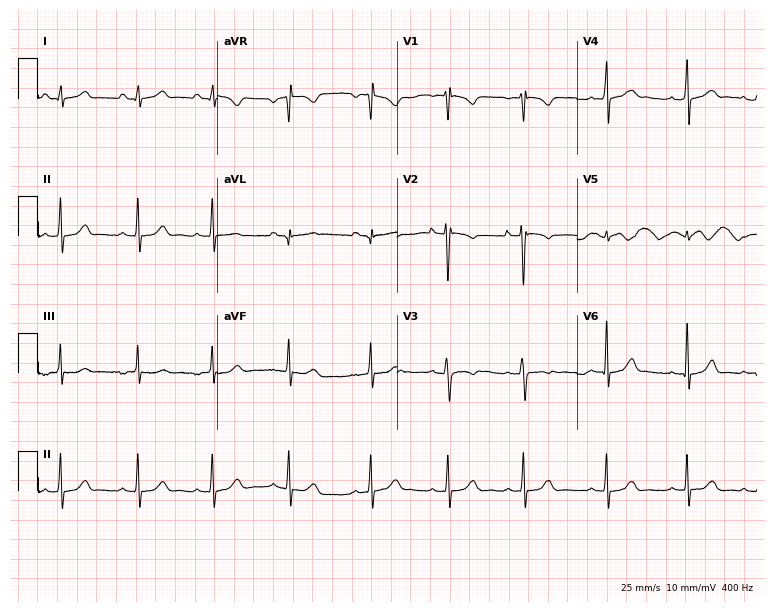
Resting 12-lead electrocardiogram. Patient: a 20-year-old female. Read as a normal ECG.